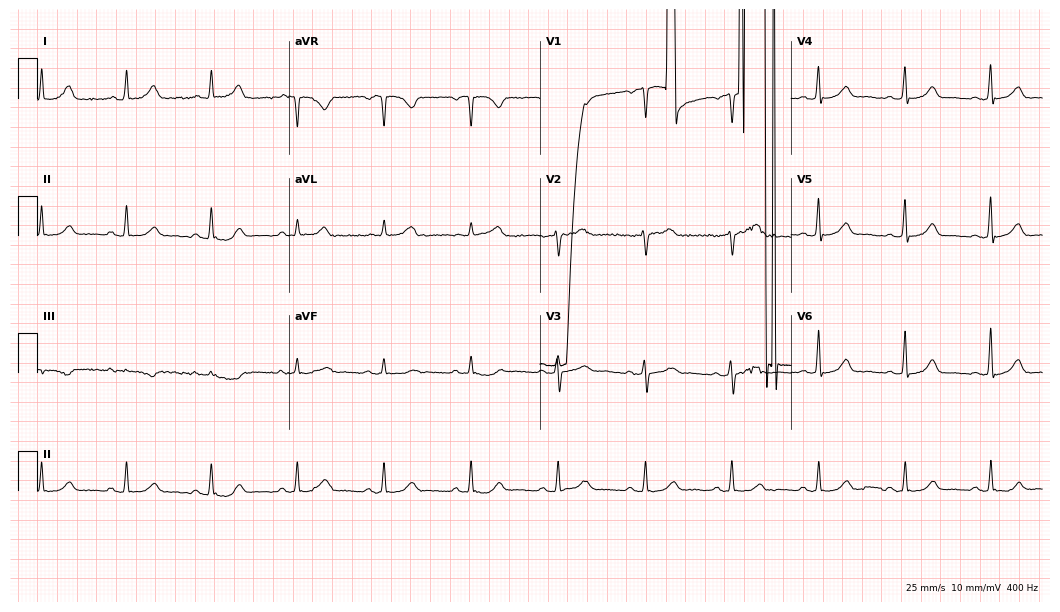
12-lead ECG from a female patient, 51 years old (10.2-second recording at 400 Hz). No first-degree AV block, right bundle branch block (RBBB), left bundle branch block (LBBB), sinus bradycardia, atrial fibrillation (AF) or sinus tachycardia recorded for this tracing. Only these six findings were labelled.